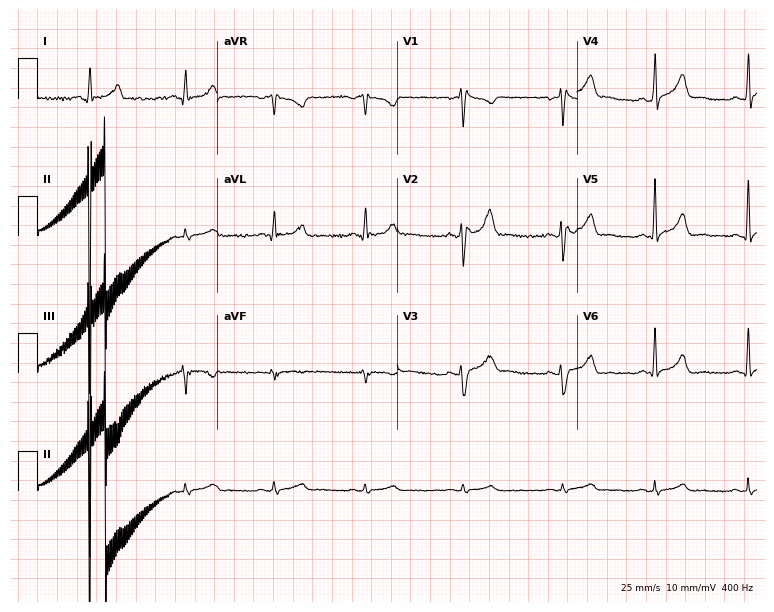
Resting 12-lead electrocardiogram (7.3-second recording at 400 Hz). Patient: a 32-year-old male. None of these six findings is recorded: first-degree AV block, right bundle branch block, left bundle branch block, sinus bradycardia, atrial fibrillation, sinus tachycardia. Findings outside these six are not listed.